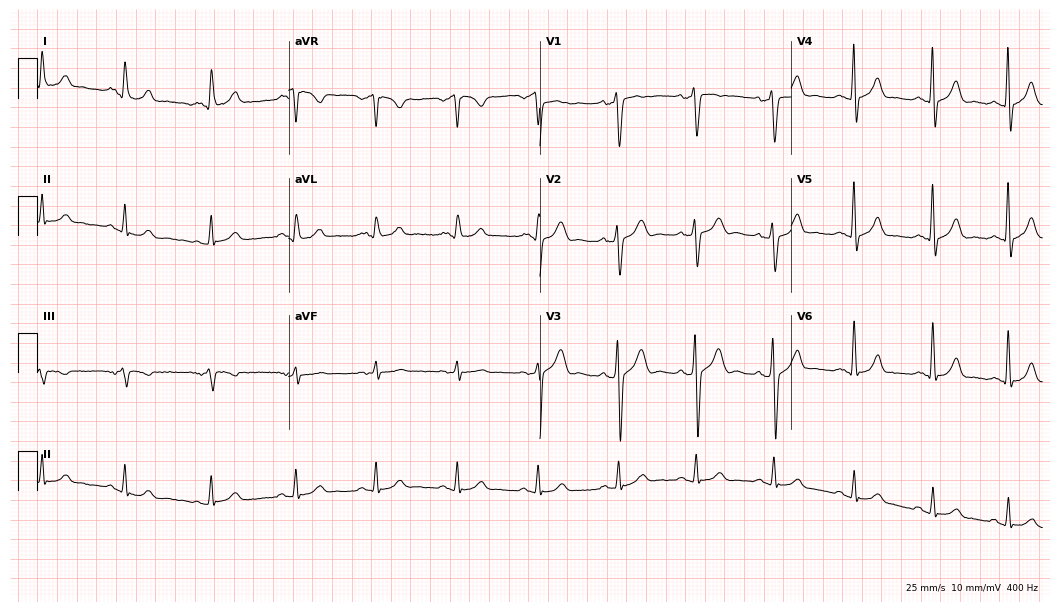
Electrocardiogram (10.2-second recording at 400 Hz), a male patient, 36 years old. Overall reading on record: normal ECG.